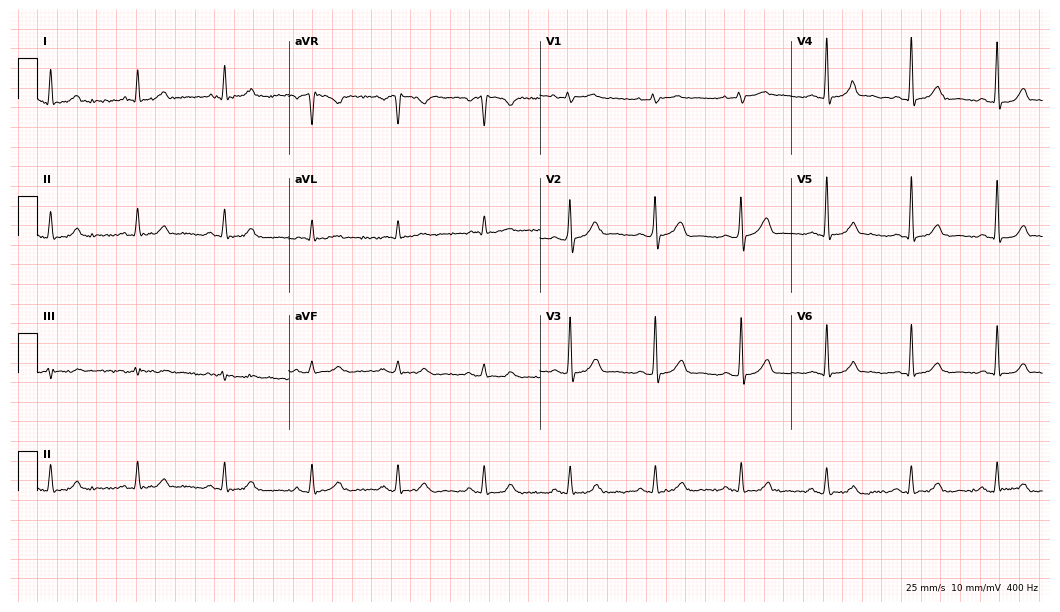
ECG (10.2-second recording at 400 Hz) — a male patient, 81 years old. Labelled as a normal ECG.